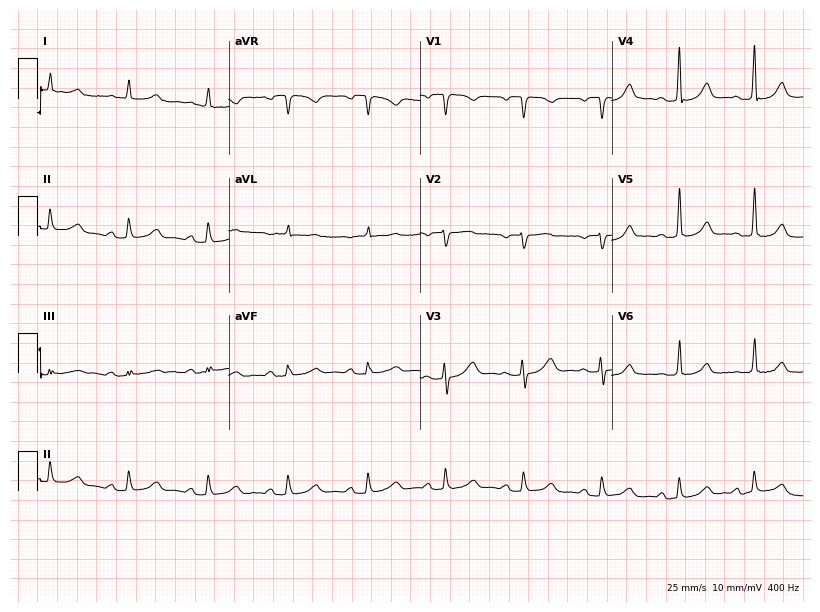
ECG — a 78-year-old female. Screened for six findings — first-degree AV block, right bundle branch block, left bundle branch block, sinus bradycardia, atrial fibrillation, sinus tachycardia — none is recorded. Findings outside these six are not listed.